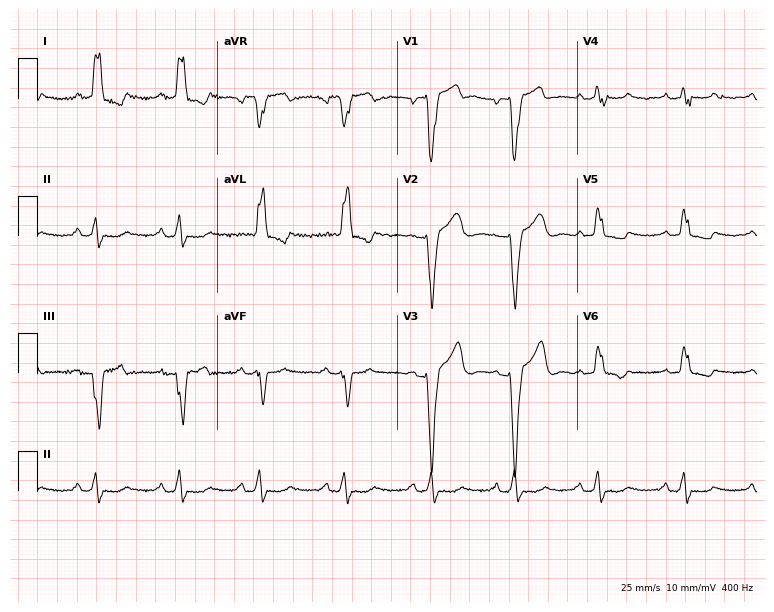
Resting 12-lead electrocardiogram (7.3-second recording at 400 Hz). Patient: a woman, 62 years old. The tracing shows left bundle branch block (LBBB).